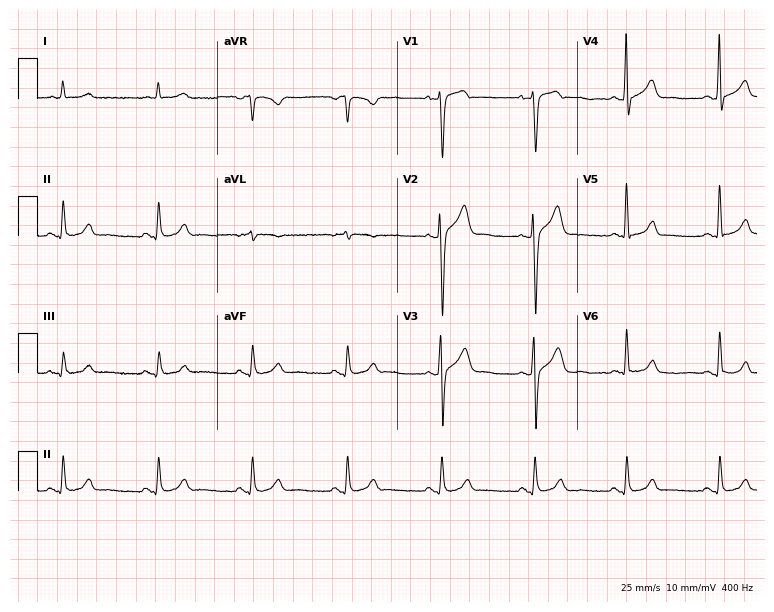
12-lead ECG from a 57-year-old male (7.3-second recording at 400 Hz). Recorded interpretation: within normal limits.